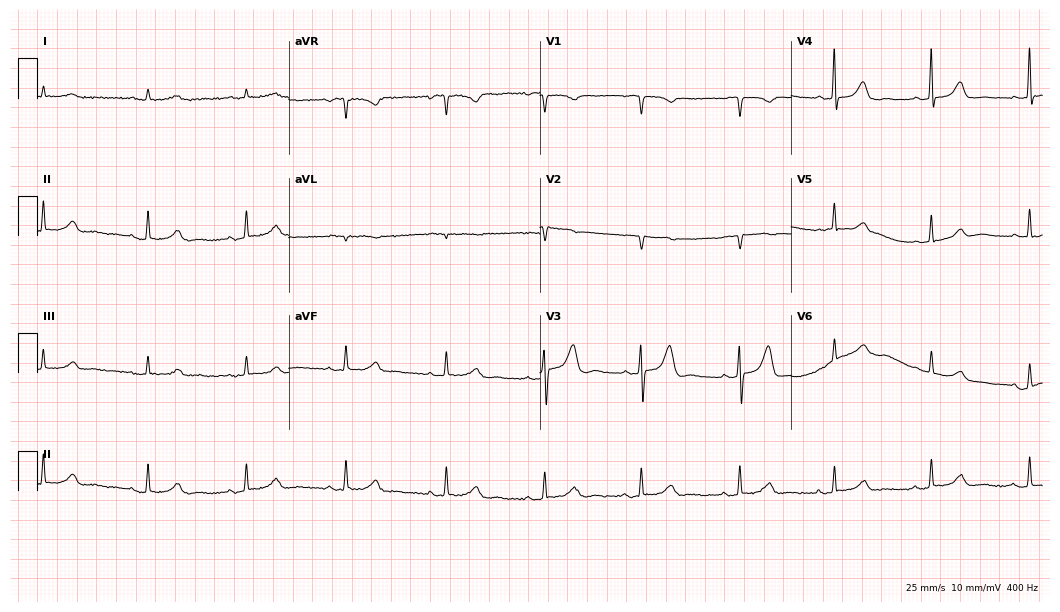
12-lead ECG (10.2-second recording at 400 Hz) from a 70-year-old female patient. Labelled as a normal ECG.